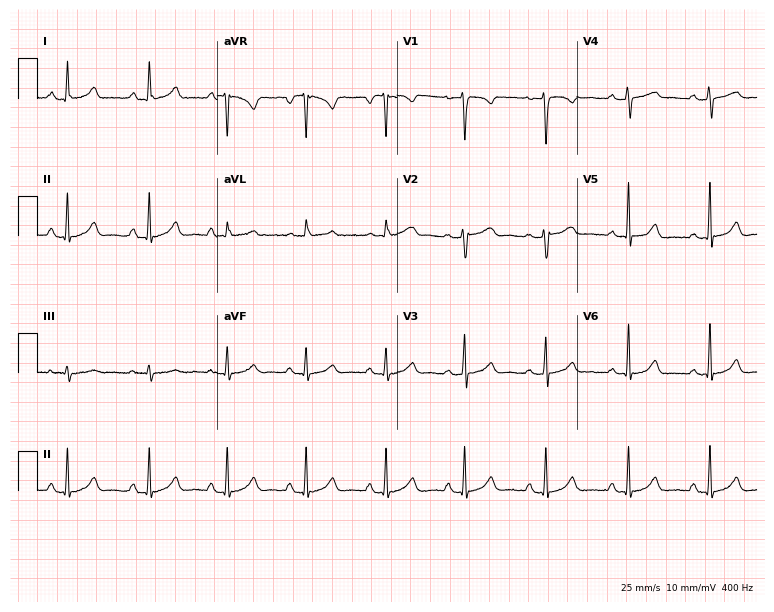
Electrocardiogram (7.3-second recording at 400 Hz), a 34-year-old woman. Overall reading on record: normal ECG.